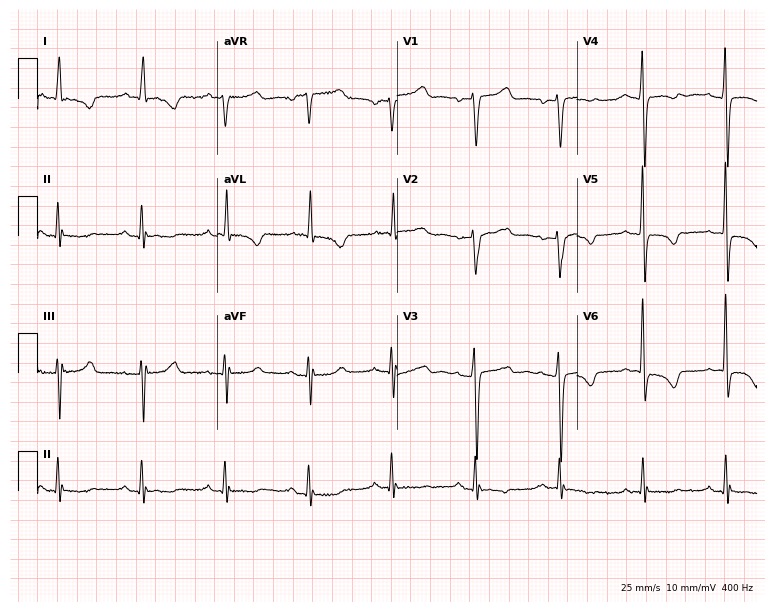
ECG (7.3-second recording at 400 Hz) — a female, 64 years old. Screened for six findings — first-degree AV block, right bundle branch block, left bundle branch block, sinus bradycardia, atrial fibrillation, sinus tachycardia — none is recorded. Other findings, if any, are not listed.